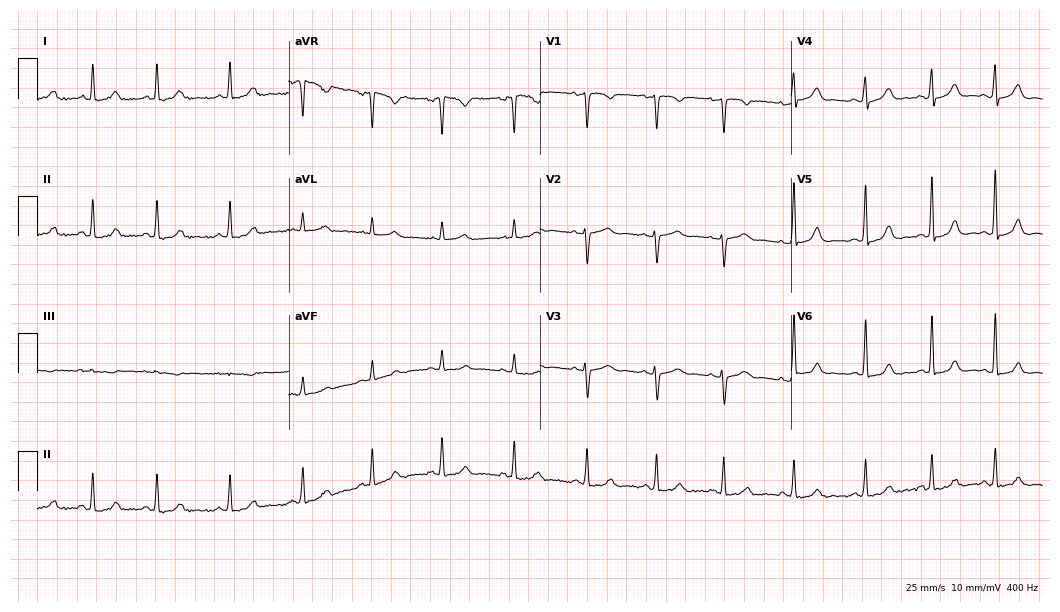
12-lead ECG from a woman, 27 years old. Recorded interpretation: within normal limits.